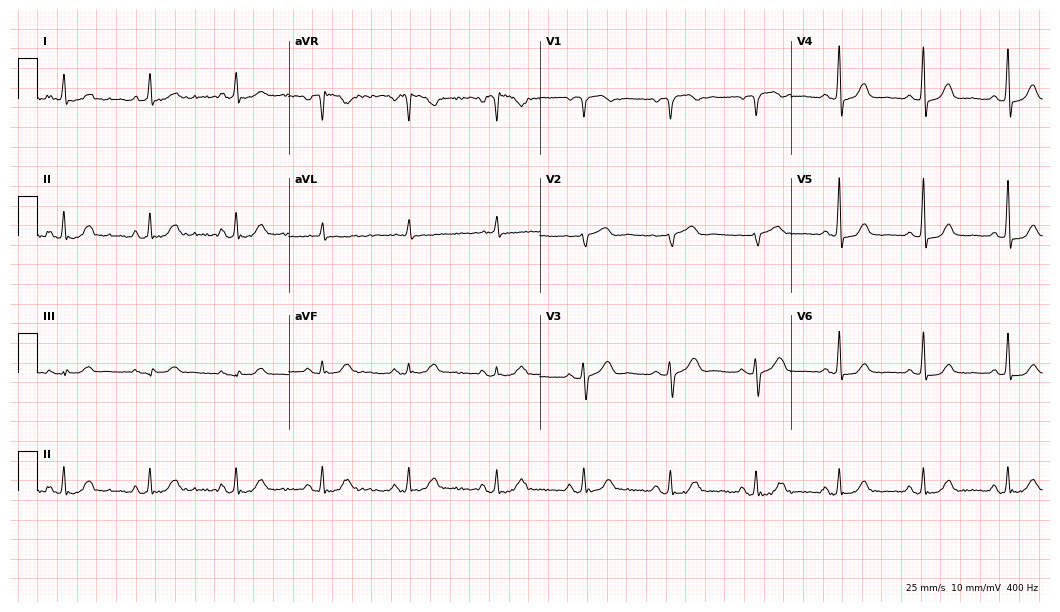
Standard 12-lead ECG recorded from a female patient, 71 years old (10.2-second recording at 400 Hz). None of these six findings is recorded: first-degree AV block, right bundle branch block, left bundle branch block, sinus bradycardia, atrial fibrillation, sinus tachycardia. Findings outside these six are not listed.